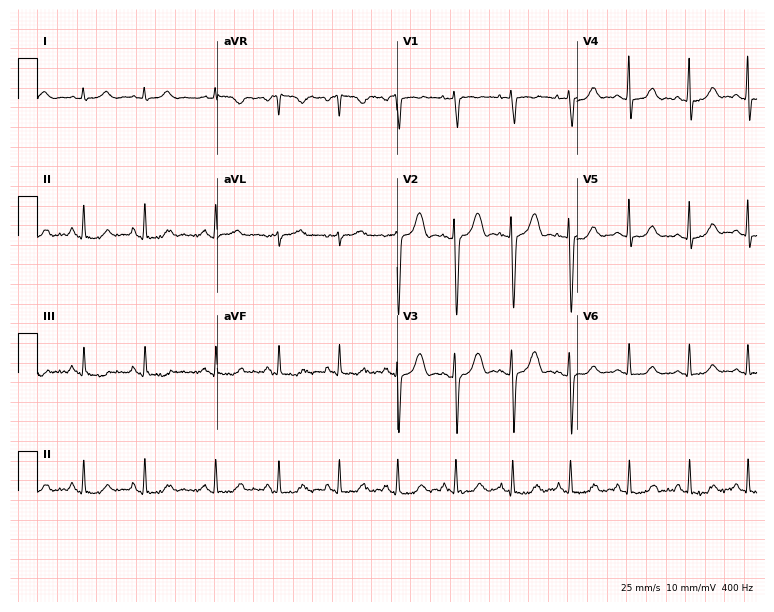
12-lead ECG from a female patient, 23 years old. Labelled as a normal ECG.